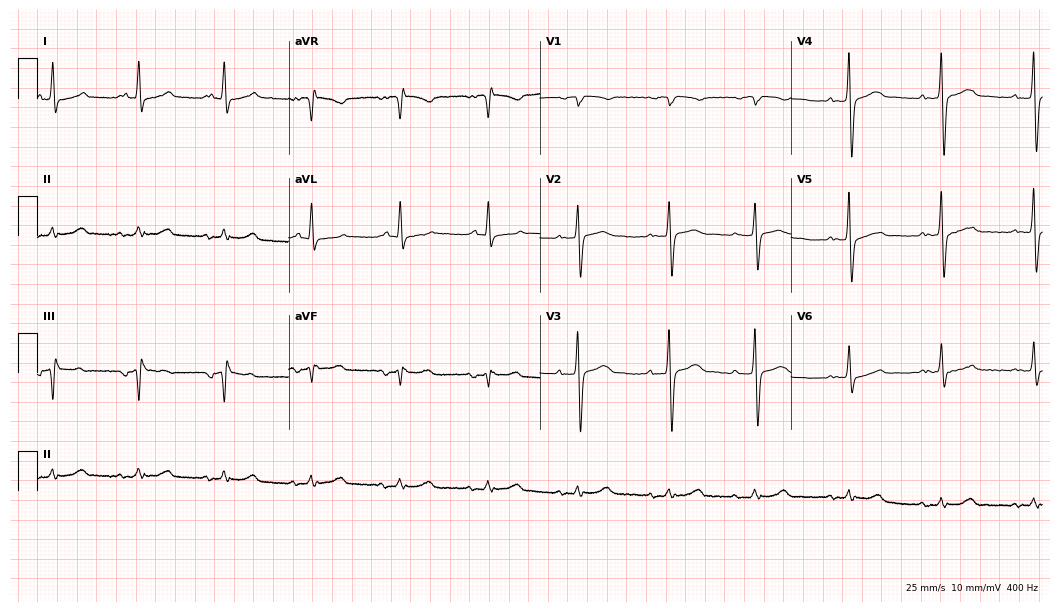
12-lead ECG from a male, 77 years old. No first-degree AV block, right bundle branch block, left bundle branch block, sinus bradycardia, atrial fibrillation or sinus tachycardia recorded for this tracing. Only these six findings were labelled.